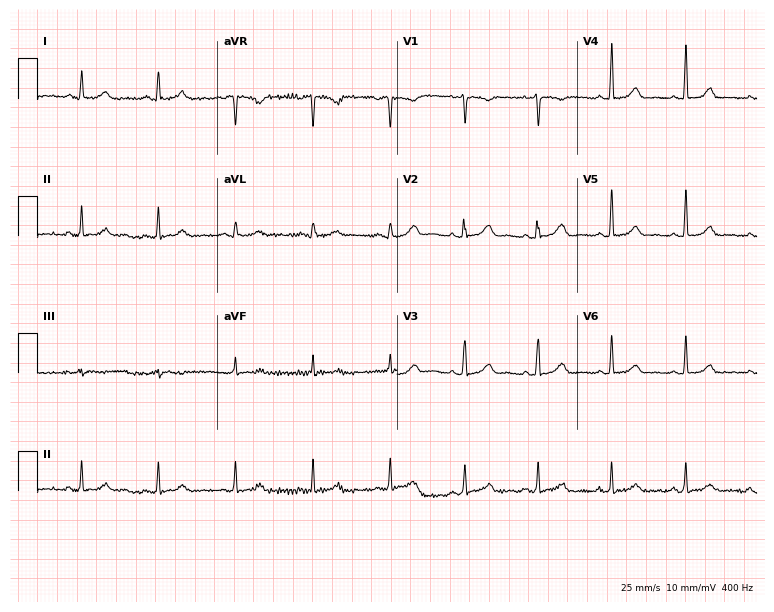
12-lead ECG from a female patient, 32 years old (7.3-second recording at 400 Hz). Recorded interpretation: within normal limits.